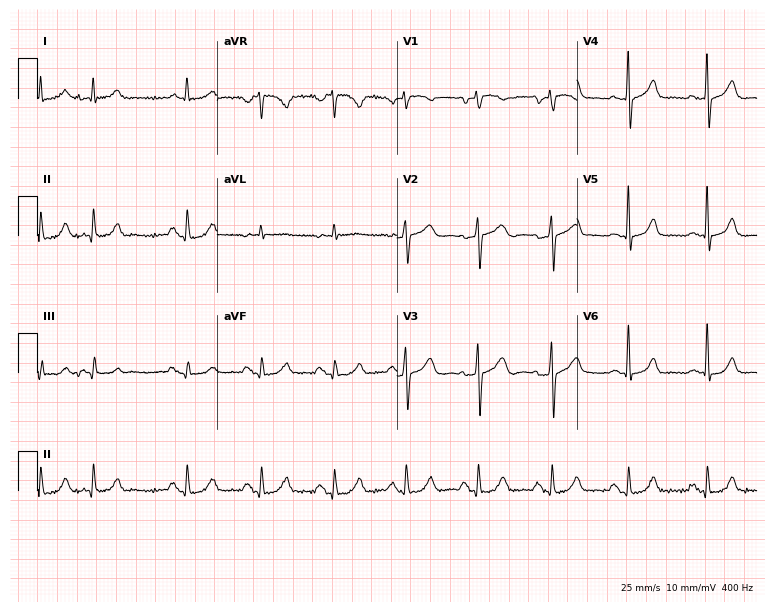
Electrocardiogram (7.3-second recording at 400 Hz), a man, 72 years old. Of the six screened findings (first-degree AV block, right bundle branch block, left bundle branch block, sinus bradycardia, atrial fibrillation, sinus tachycardia), none is recorded.